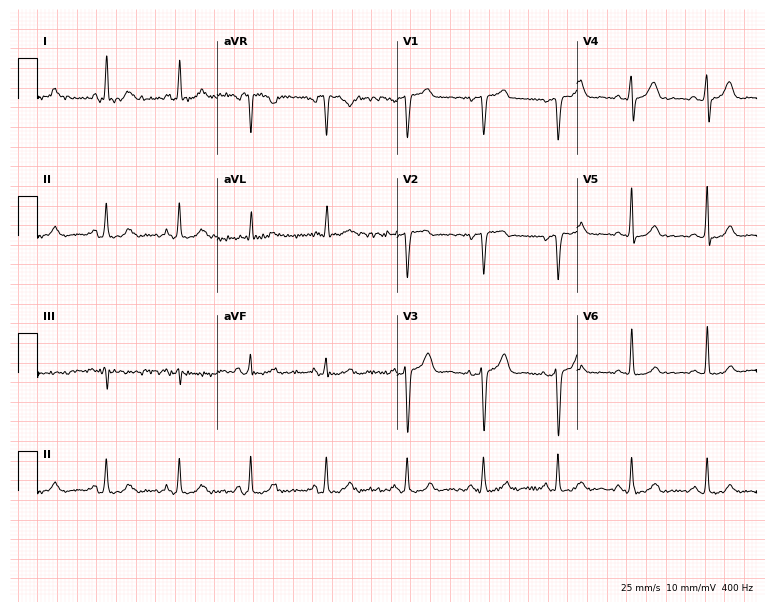
Resting 12-lead electrocardiogram (7.3-second recording at 400 Hz). Patient: a female, 32 years old. None of these six findings is recorded: first-degree AV block, right bundle branch block, left bundle branch block, sinus bradycardia, atrial fibrillation, sinus tachycardia. Findings outside these six are not listed.